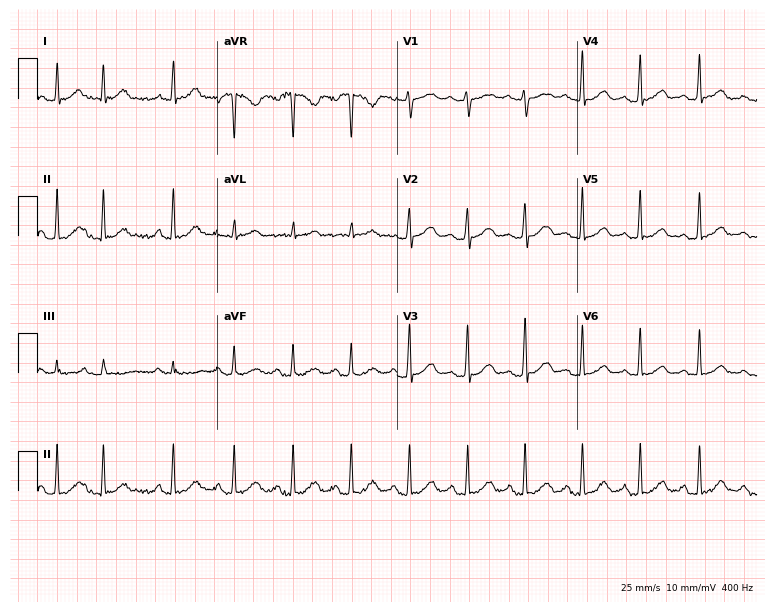
Electrocardiogram (7.3-second recording at 400 Hz), a 31-year-old woman. Of the six screened findings (first-degree AV block, right bundle branch block (RBBB), left bundle branch block (LBBB), sinus bradycardia, atrial fibrillation (AF), sinus tachycardia), none is recorded. Only these six findings were labelled.